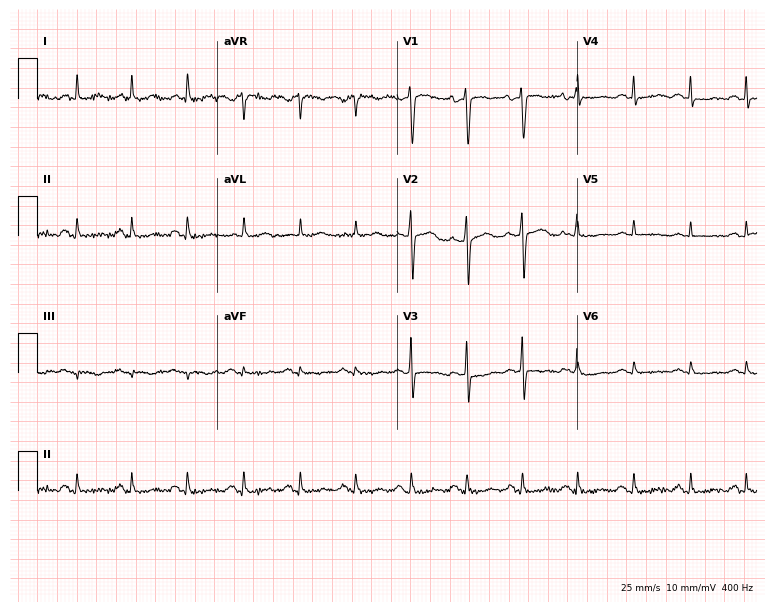
Resting 12-lead electrocardiogram (7.3-second recording at 400 Hz). Patient: a woman, 46 years old. The tracing shows sinus tachycardia (a sinus rate of 100 beats per minute or more).